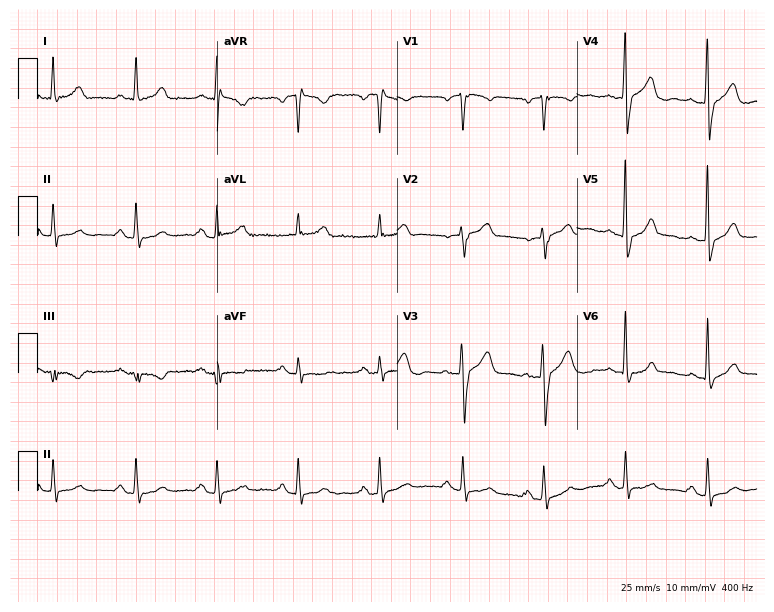
ECG — a 51-year-old male patient. Labelled as a normal ECG.